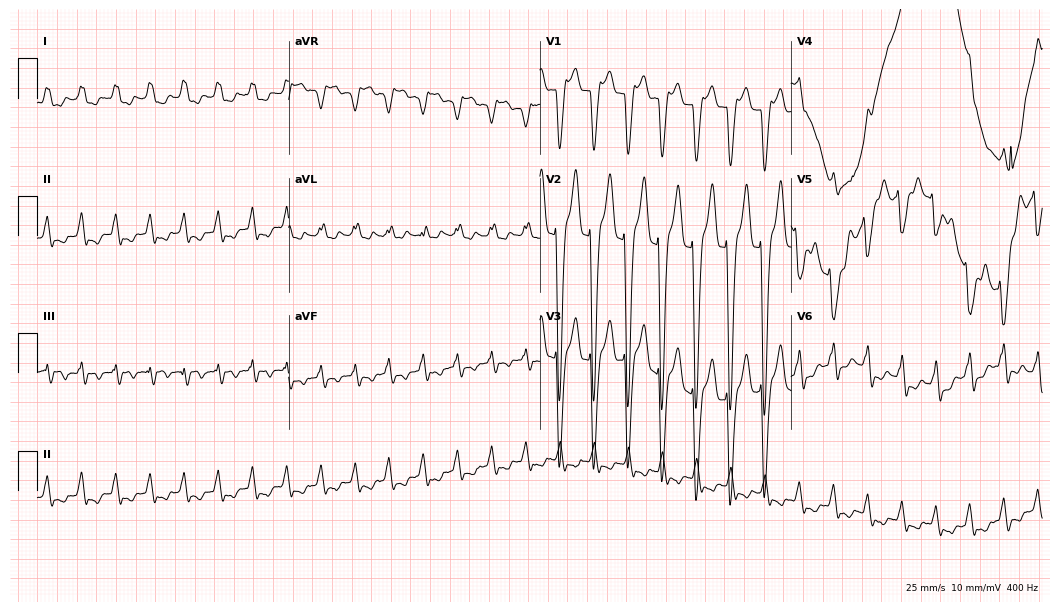
Electrocardiogram, a male, 83 years old. Interpretation includes left bundle branch block, atrial fibrillation.